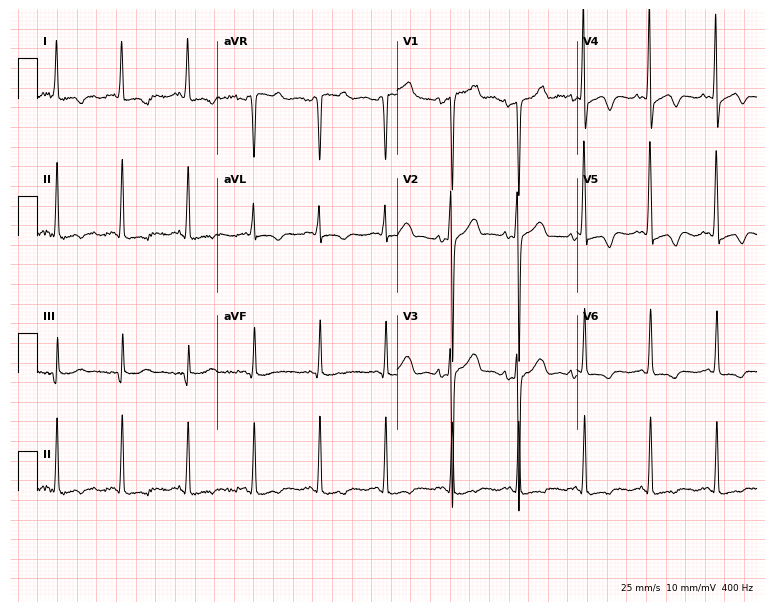
Standard 12-lead ECG recorded from a woman, 64 years old. None of these six findings is recorded: first-degree AV block, right bundle branch block, left bundle branch block, sinus bradycardia, atrial fibrillation, sinus tachycardia. Other findings, if any, are not listed.